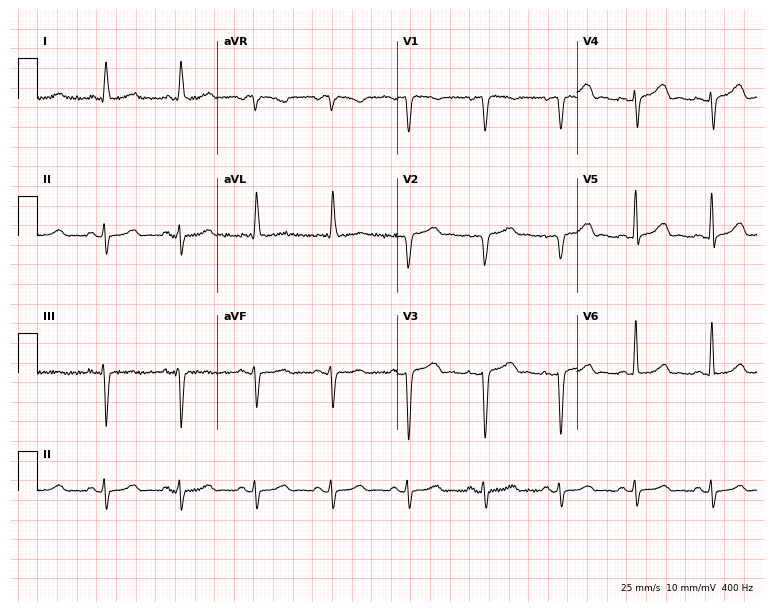
Electrocardiogram (7.3-second recording at 400 Hz), a woman, 76 years old. Of the six screened findings (first-degree AV block, right bundle branch block (RBBB), left bundle branch block (LBBB), sinus bradycardia, atrial fibrillation (AF), sinus tachycardia), none is recorded.